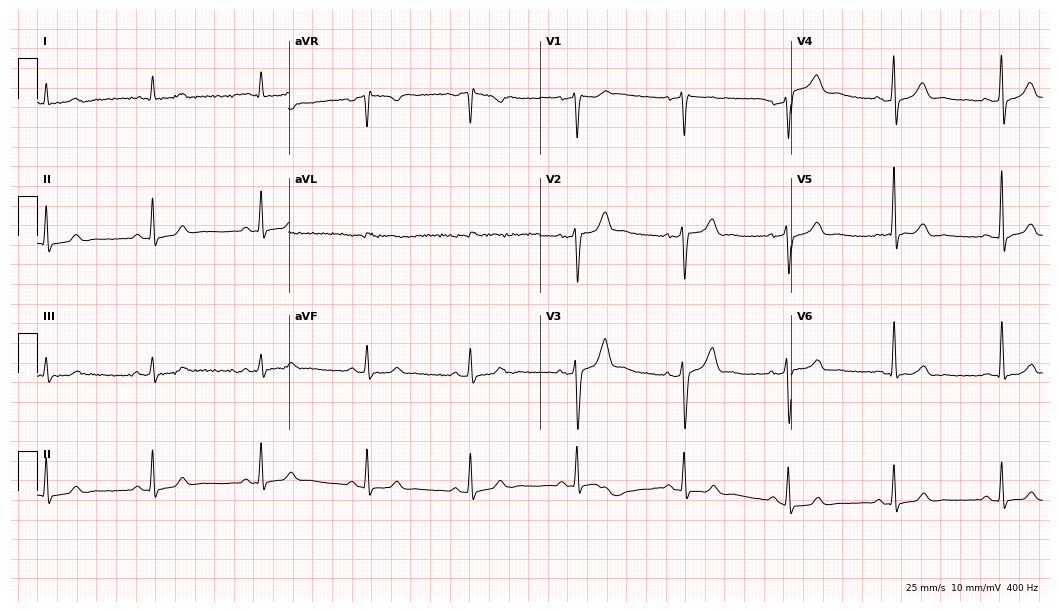
Electrocardiogram, a male, 56 years old. Overall reading on record: normal ECG.